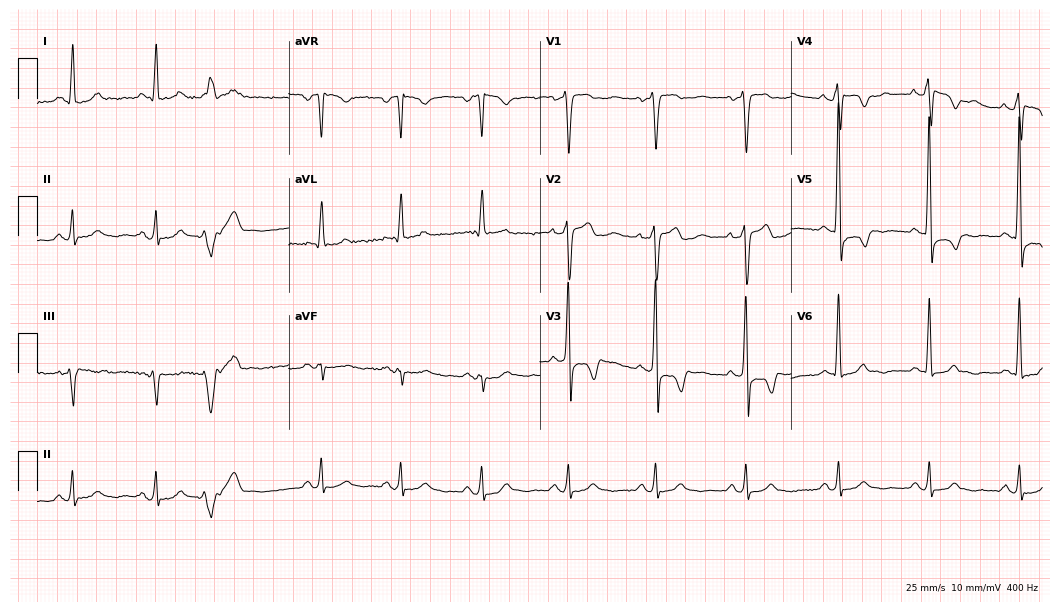
ECG (10.2-second recording at 400 Hz) — a male patient, 51 years old. Screened for six findings — first-degree AV block, right bundle branch block (RBBB), left bundle branch block (LBBB), sinus bradycardia, atrial fibrillation (AF), sinus tachycardia — none is recorded. Only these six findings were labelled.